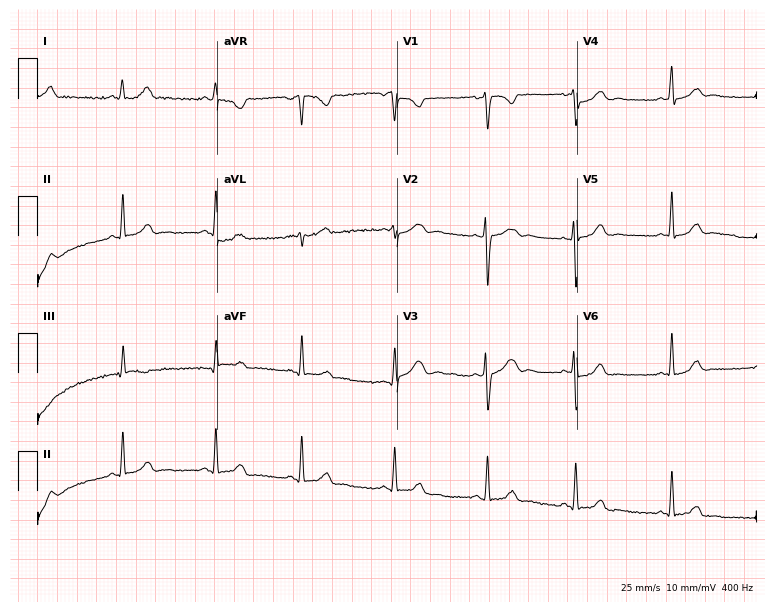
12-lead ECG from a female, 26 years old (7.3-second recording at 400 Hz). No first-degree AV block, right bundle branch block (RBBB), left bundle branch block (LBBB), sinus bradycardia, atrial fibrillation (AF) or sinus tachycardia recorded for this tracing.